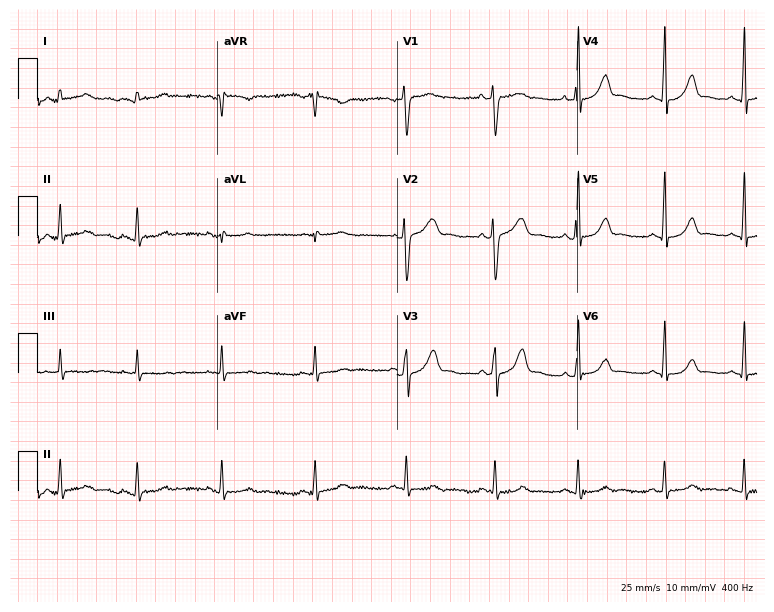
Electrocardiogram (7.3-second recording at 400 Hz), a 19-year-old woman. Overall reading on record: normal ECG.